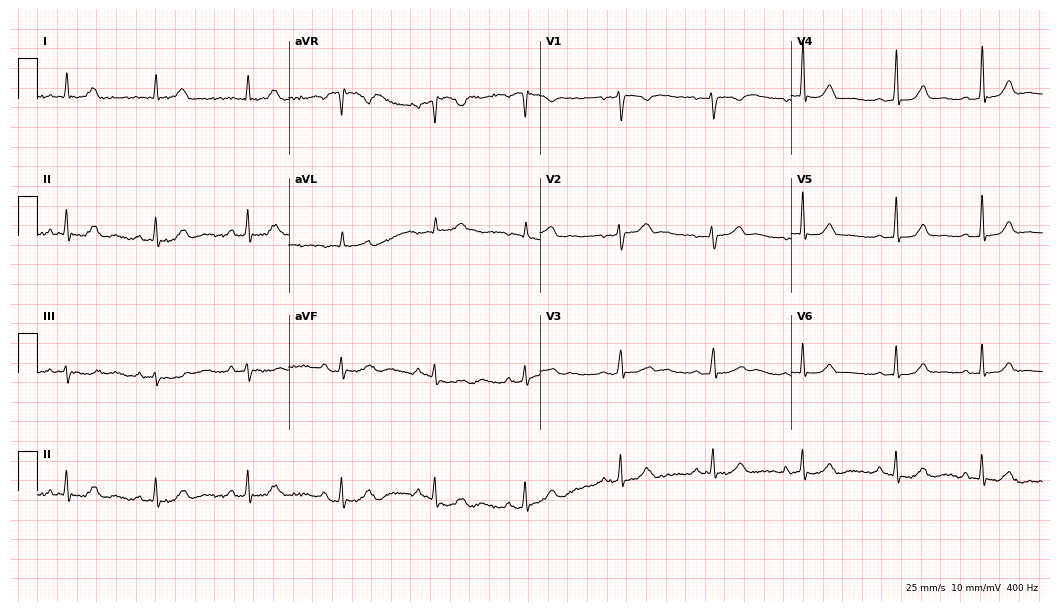
Standard 12-lead ECG recorded from a 32-year-old woman. None of these six findings is recorded: first-degree AV block, right bundle branch block, left bundle branch block, sinus bradycardia, atrial fibrillation, sinus tachycardia.